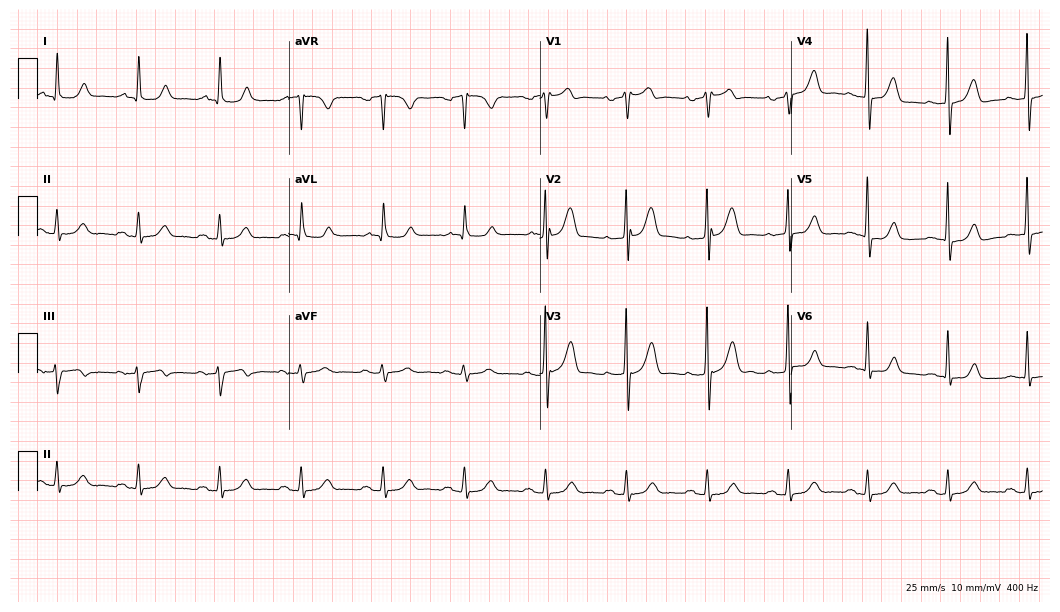
Standard 12-lead ECG recorded from a male, 81 years old. Read as a normal ECG.